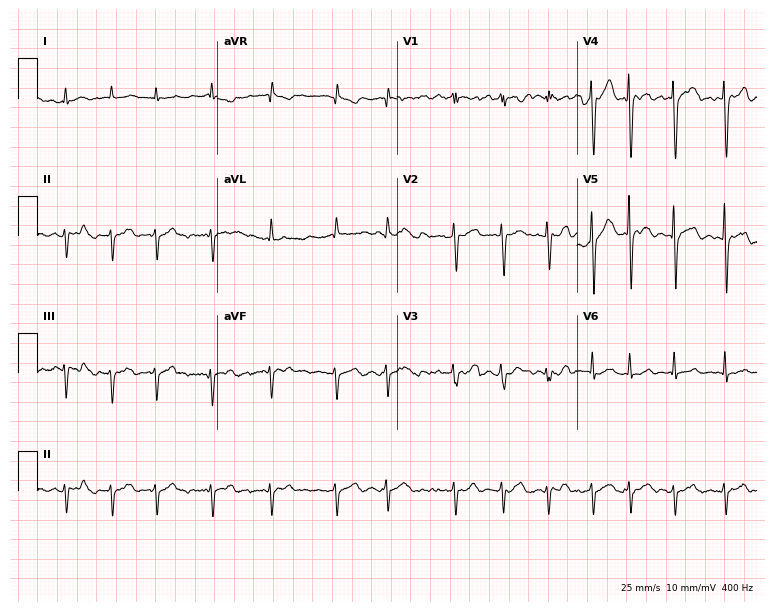
12-lead ECG from a 72-year-old female patient. Findings include atrial fibrillation.